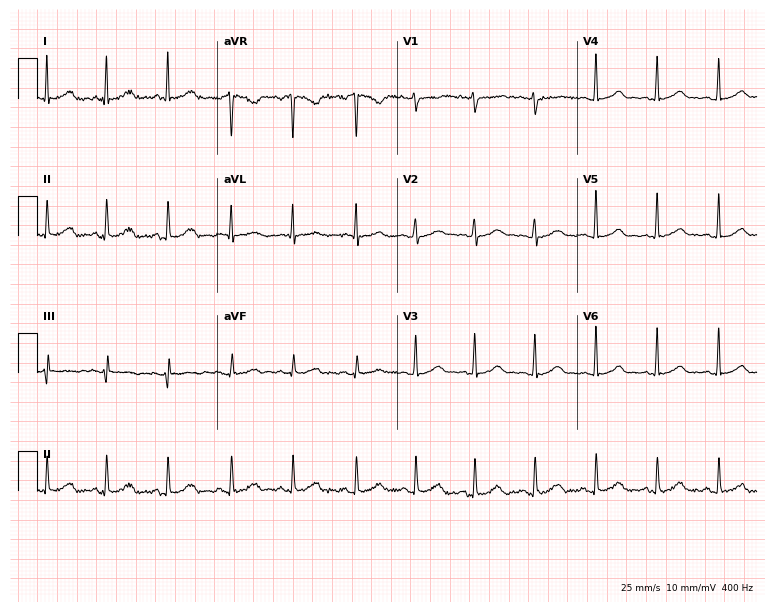
ECG — a female patient, 31 years old. Screened for six findings — first-degree AV block, right bundle branch block (RBBB), left bundle branch block (LBBB), sinus bradycardia, atrial fibrillation (AF), sinus tachycardia — none is recorded. Other findings, if any, are not listed.